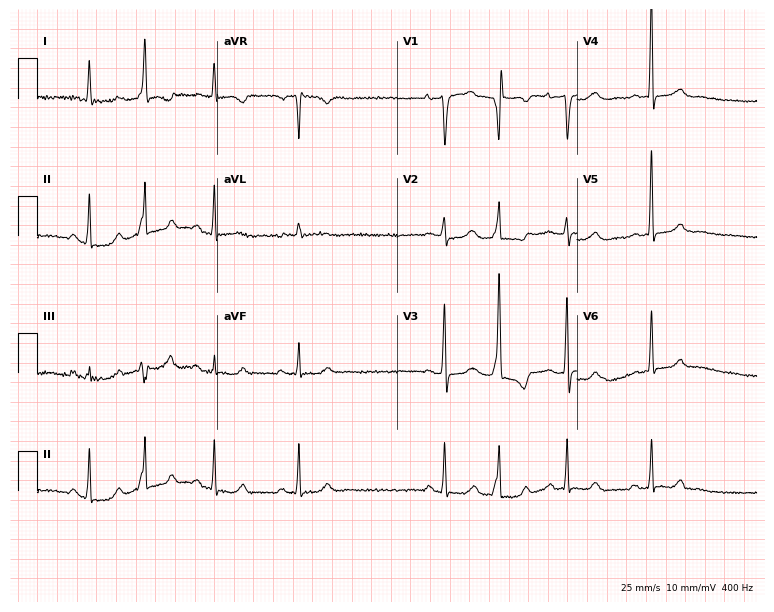
12-lead ECG from a 60-year-old female patient. Screened for six findings — first-degree AV block, right bundle branch block, left bundle branch block, sinus bradycardia, atrial fibrillation, sinus tachycardia — none is recorded.